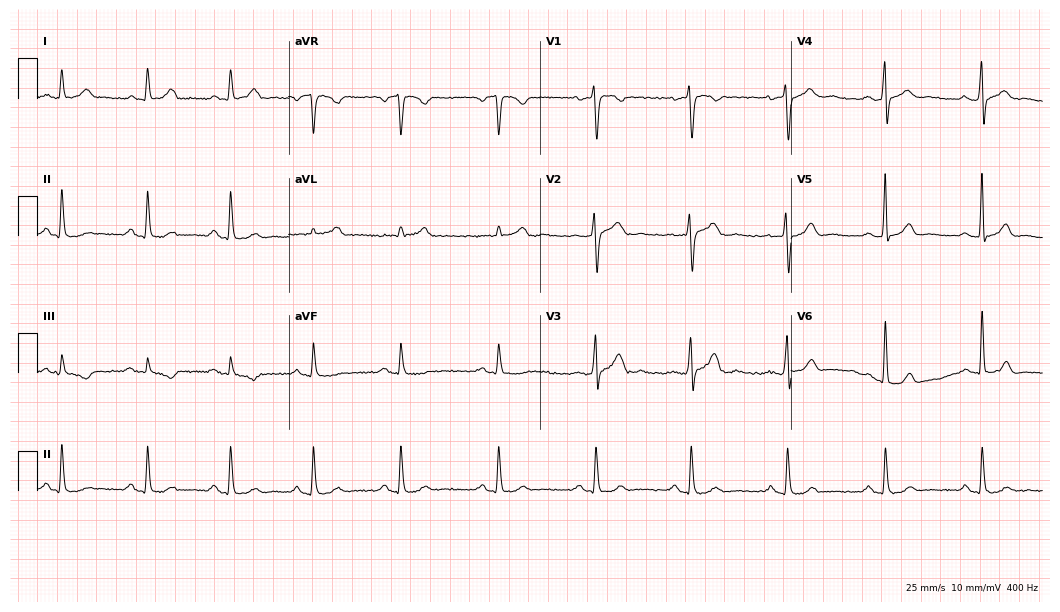
Standard 12-lead ECG recorded from a 67-year-old male (10.2-second recording at 400 Hz). Read as a normal ECG.